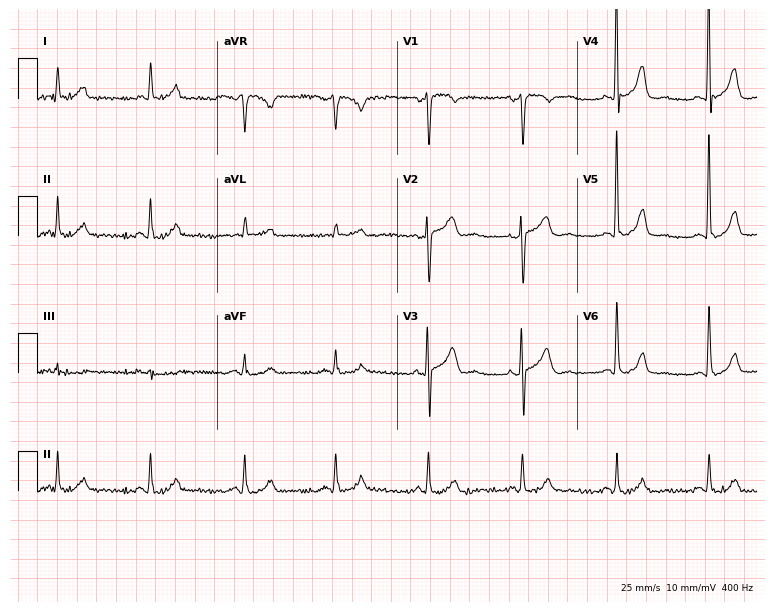
ECG (7.3-second recording at 400 Hz) — a 60-year-old man. Labelled as a normal ECG.